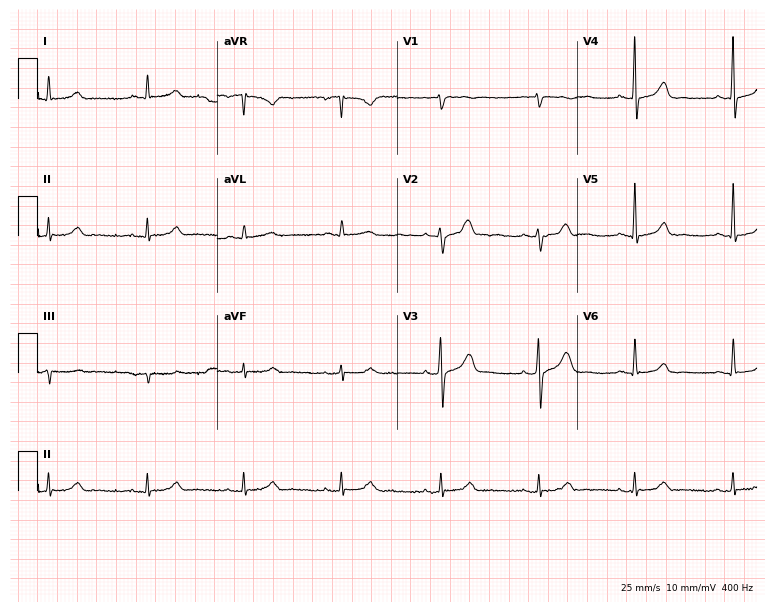
Standard 12-lead ECG recorded from a 47-year-old male patient. None of these six findings is recorded: first-degree AV block, right bundle branch block, left bundle branch block, sinus bradycardia, atrial fibrillation, sinus tachycardia. Other findings, if any, are not listed.